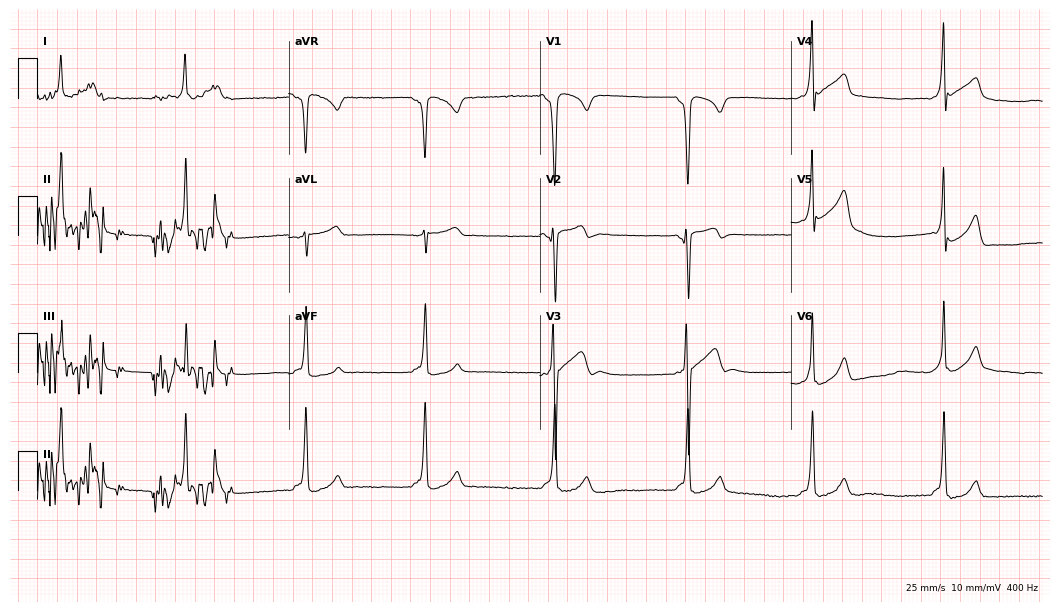
12-lead ECG from a male patient, 18 years old (10.2-second recording at 400 Hz). No first-degree AV block, right bundle branch block, left bundle branch block, sinus bradycardia, atrial fibrillation or sinus tachycardia recorded for this tracing. Only these six findings were labelled.